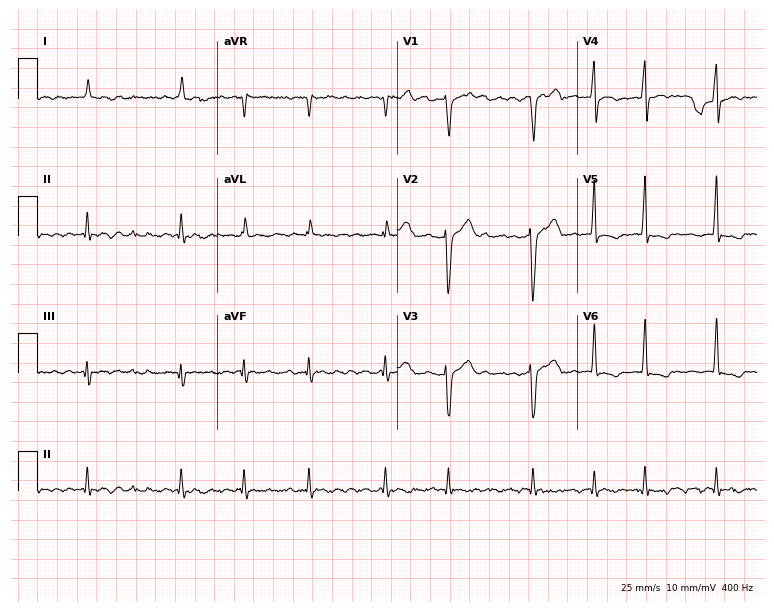
Standard 12-lead ECG recorded from a 63-year-old man. The tracing shows atrial fibrillation.